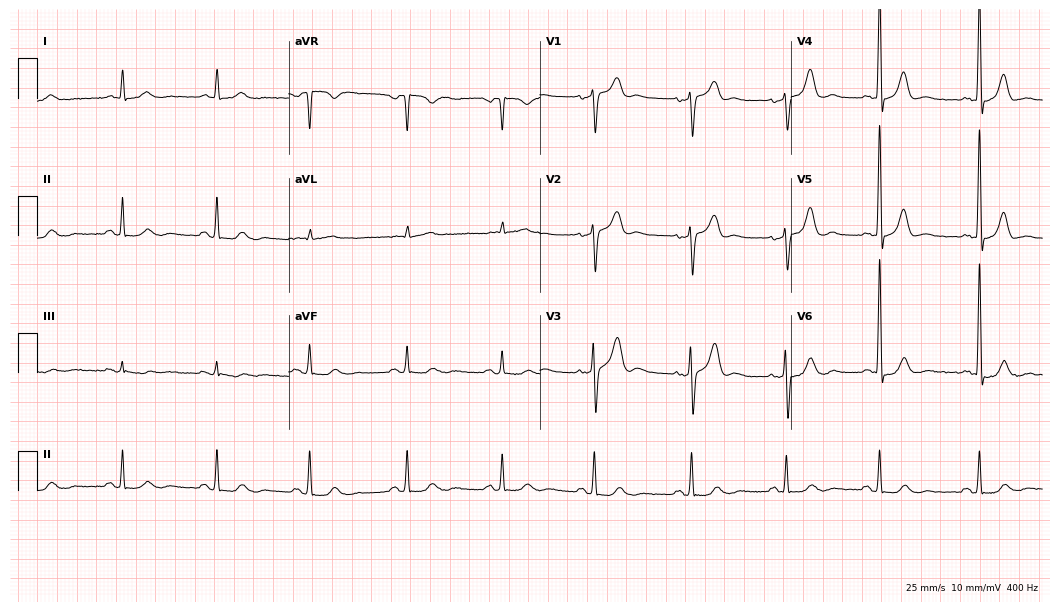
Resting 12-lead electrocardiogram. Patient: a male, 68 years old. Read as a normal ECG.